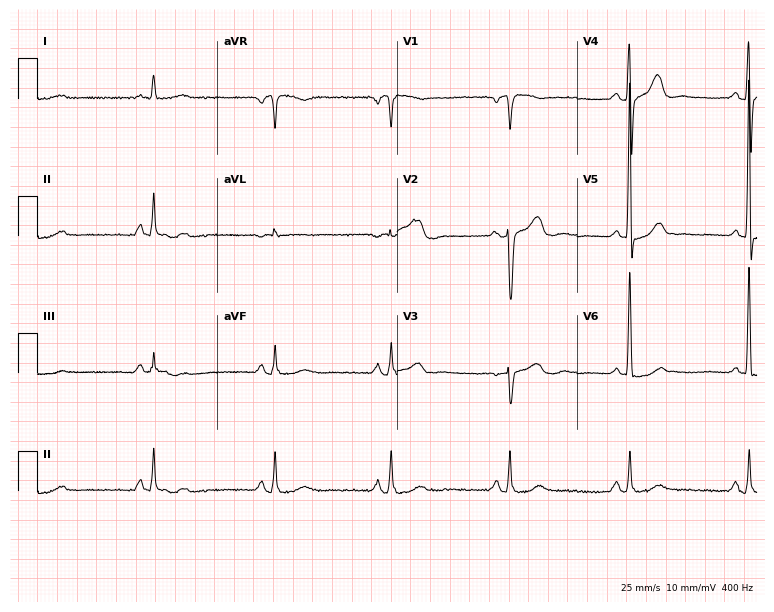
12-lead ECG (7.3-second recording at 400 Hz) from a male, 69 years old. Findings include sinus bradycardia (a sinus rate of 50 beats per minute or less).